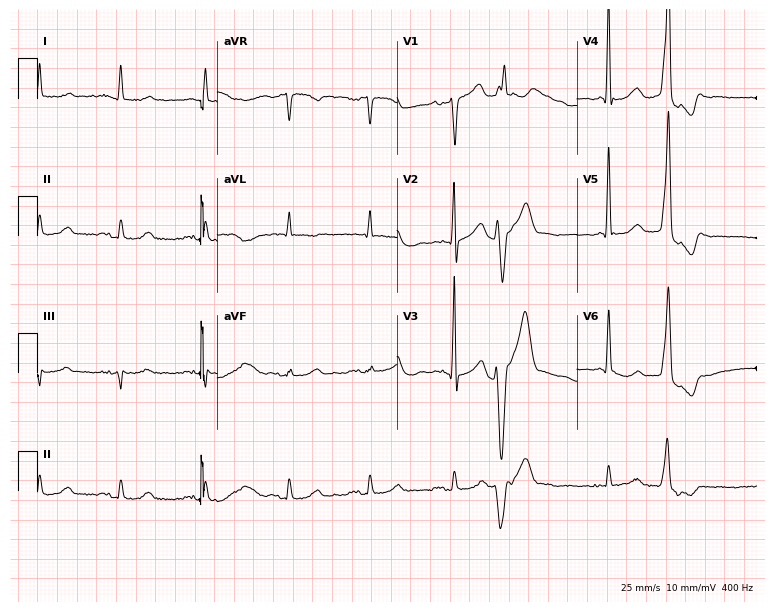
12-lead ECG from a man, 78 years old. Screened for six findings — first-degree AV block, right bundle branch block, left bundle branch block, sinus bradycardia, atrial fibrillation, sinus tachycardia — none is recorded.